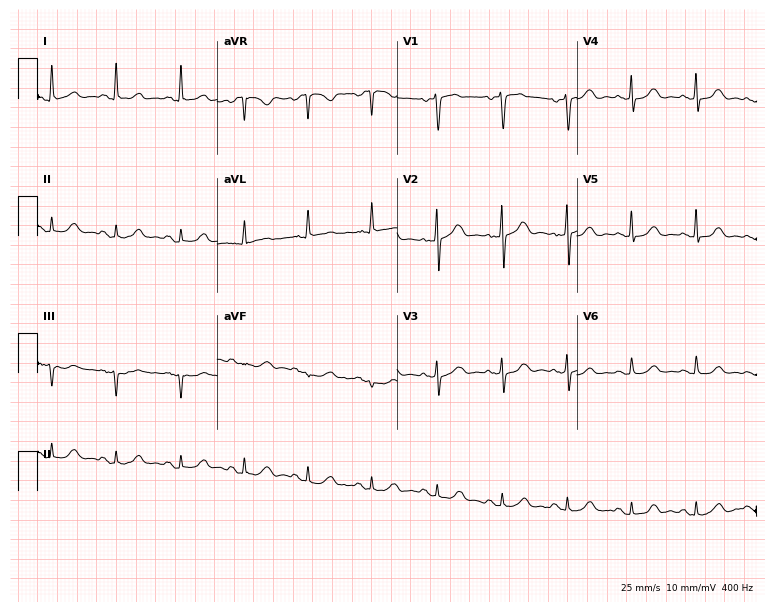
12-lead ECG from a 64-year-old female. Screened for six findings — first-degree AV block, right bundle branch block, left bundle branch block, sinus bradycardia, atrial fibrillation, sinus tachycardia — none is recorded.